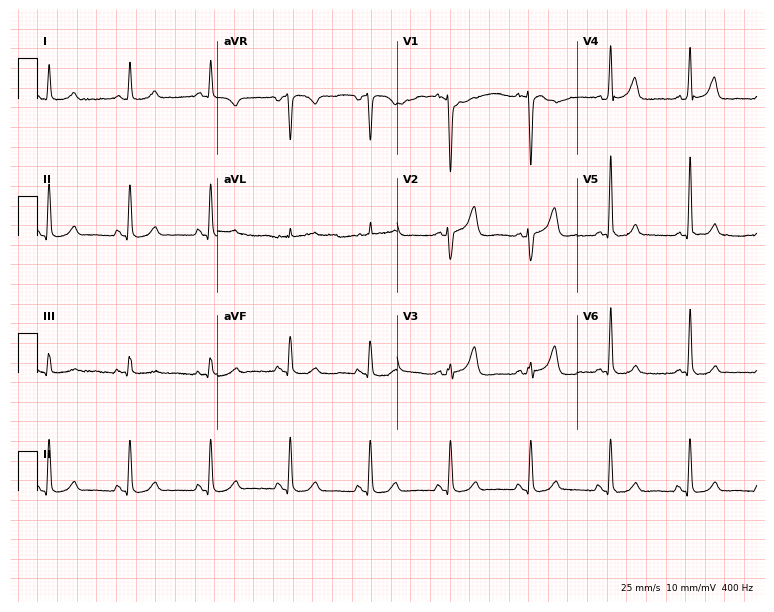
12-lead ECG from a female patient, 44 years old (7.3-second recording at 400 Hz). No first-degree AV block, right bundle branch block, left bundle branch block, sinus bradycardia, atrial fibrillation or sinus tachycardia recorded for this tracing. Other findings, if any, are not listed.